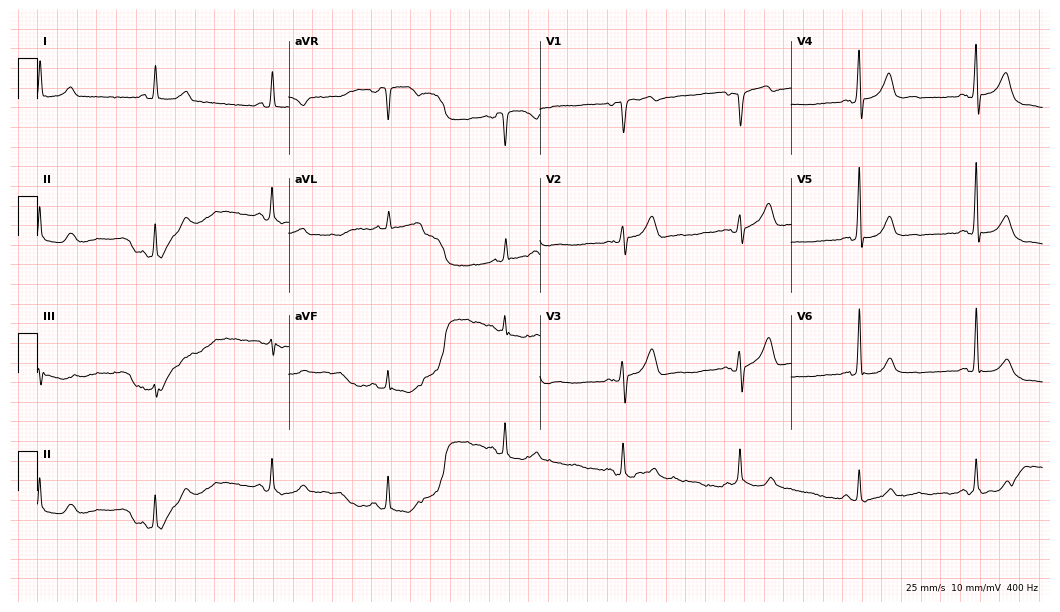
12-lead ECG from a male patient, 82 years old (10.2-second recording at 400 Hz). No first-degree AV block, right bundle branch block, left bundle branch block, sinus bradycardia, atrial fibrillation or sinus tachycardia recorded for this tracing.